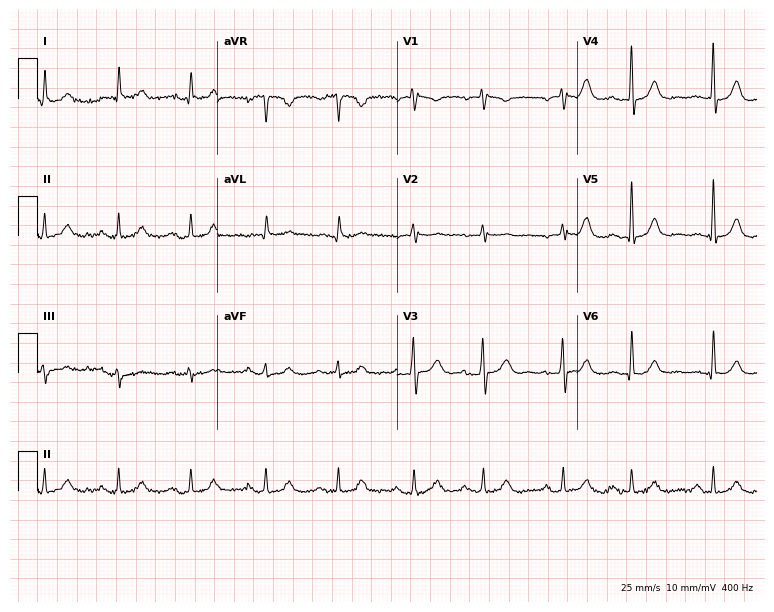
Resting 12-lead electrocardiogram. Patient: a 78-year-old man. None of these six findings is recorded: first-degree AV block, right bundle branch block (RBBB), left bundle branch block (LBBB), sinus bradycardia, atrial fibrillation (AF), sinus tachycardia. Only these six findings were labelled.